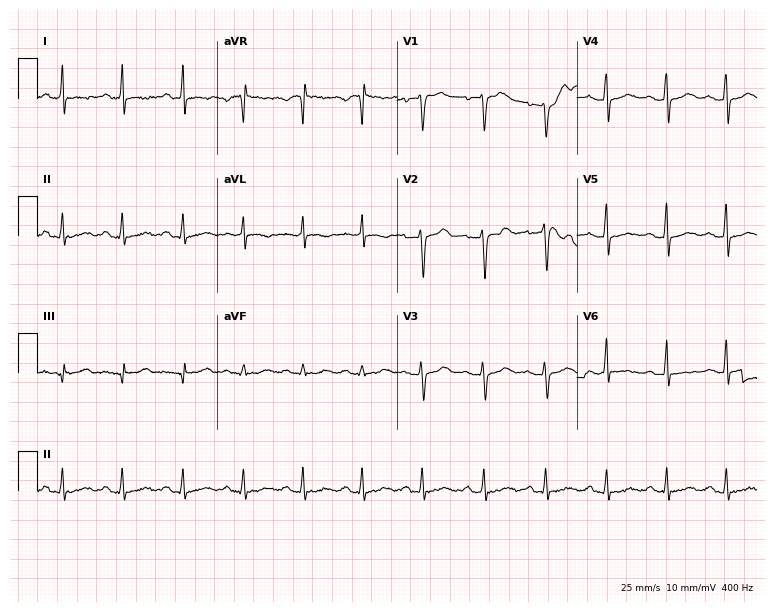
ECG — a 47-year-old female patient. Screened for six findings — first-degree AV block, right bundle branch block, left bundle branch block, sinus bradycardia, atrial fibrillation, sinus tachycardia — none is recorded.